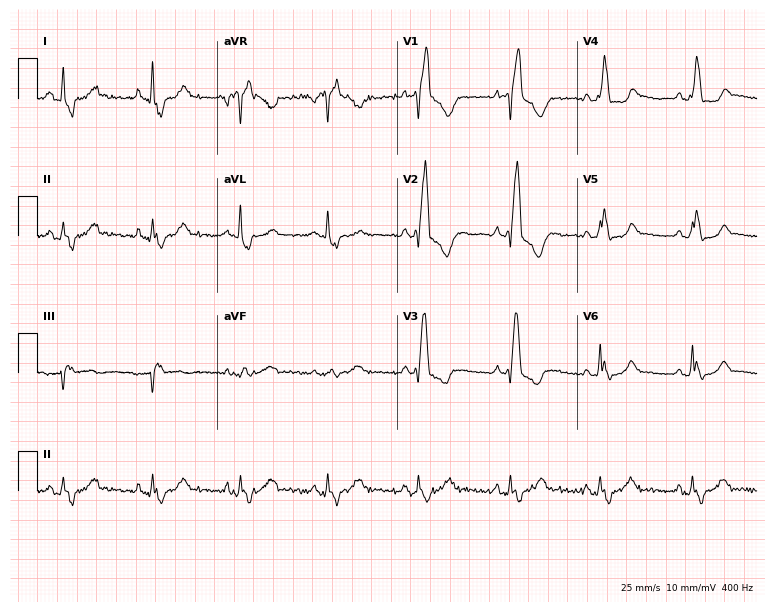
12-lead ECG (7.3-second recording at 400 Hz) from a female patient, 36 years old. Findings include right bundle branch block.